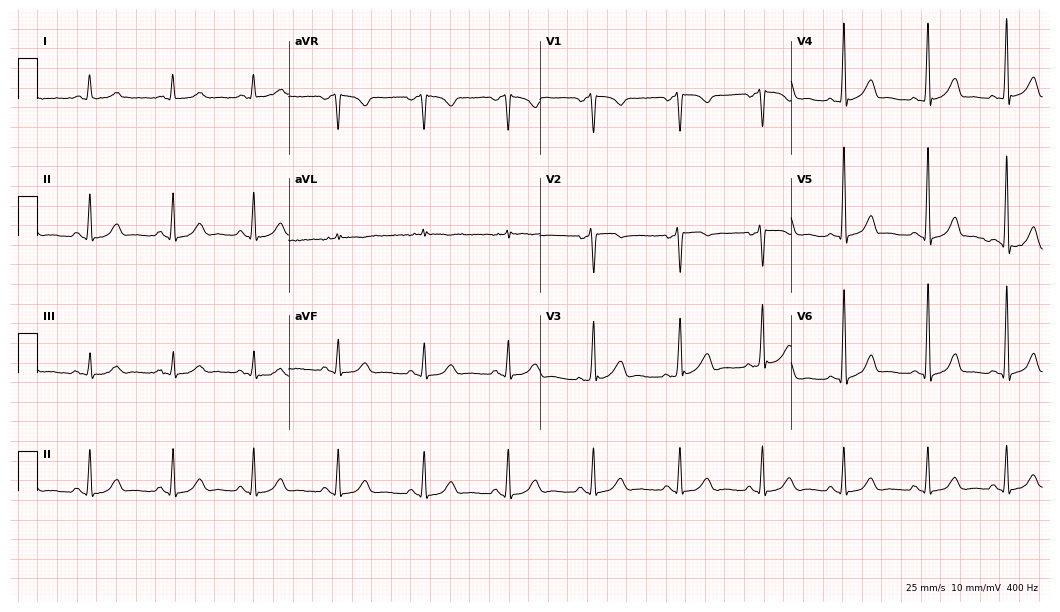
ECG — a female, 39 years old. Labelled as a normal ECG.